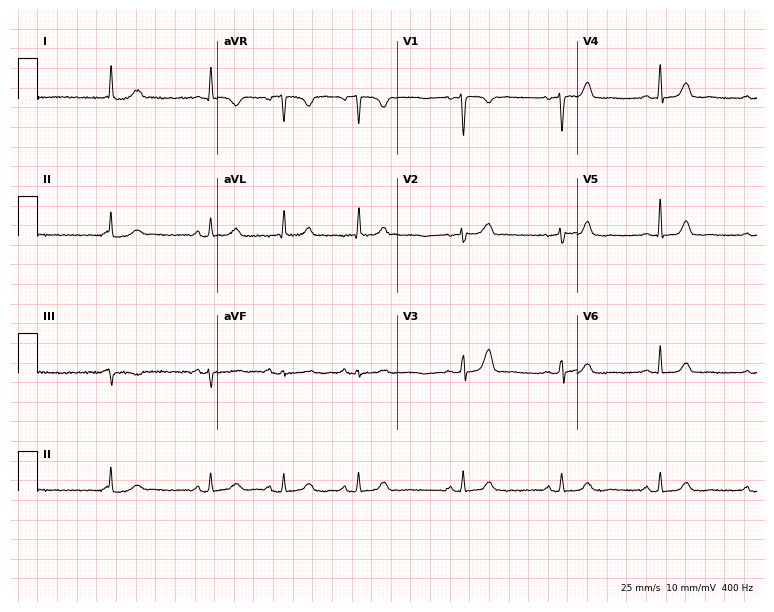
Electrocardiogram, a 52-year-old female. Of the six screened findings (first-degree AV block, right bundle branch block, left bundle branch block, sinus bradycardia, atrial fibrillation, sinus tachycardia), none is recorded. Other findings, if any, are not listed.